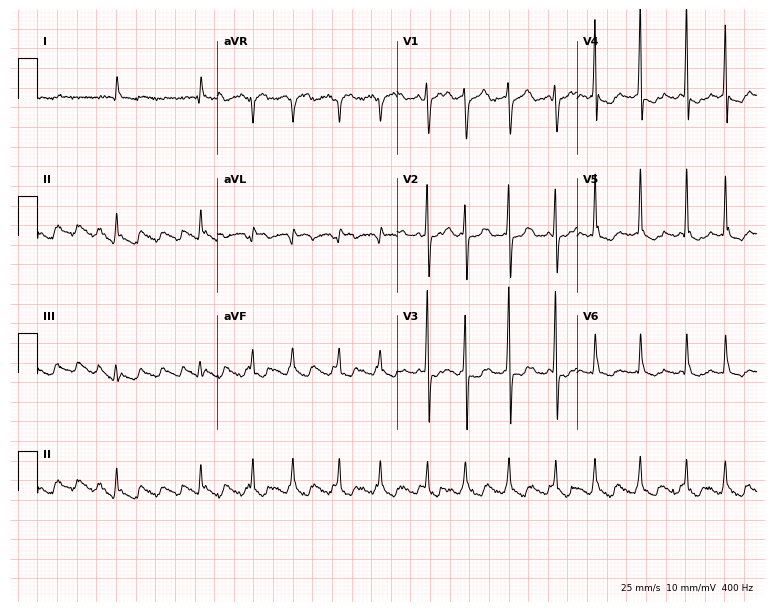
Resting 12-lead electrocardiogram (7.3-second recording at 400 Hz). Patient: a 68-year-old male. None of these six findings is recorded: first-degree AV block, right bundle branch block, left bundle branch block, sinus bradycardia, atrial fibrillation, sinus tachycardia. Findings outside these six are not listed.